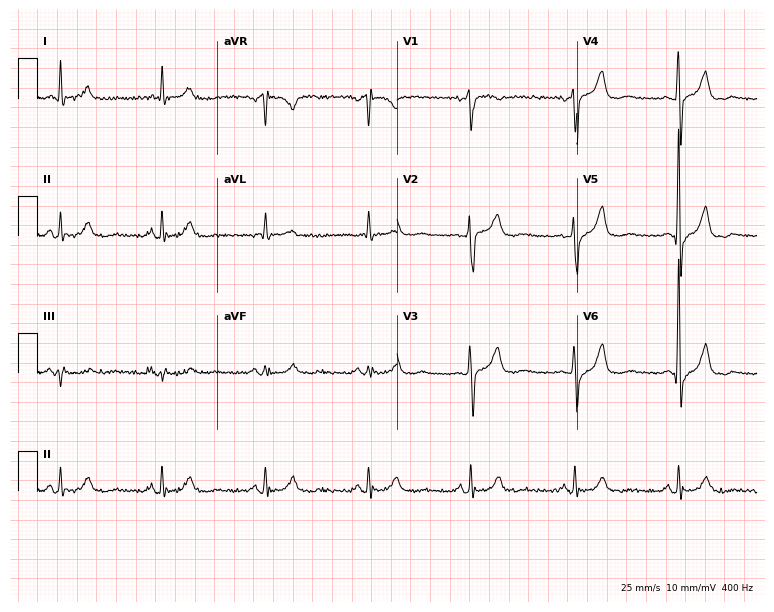
12-lead ECG from an 84-year-old male patient. No first-degree AV block, right bundle branch block, left bundle branch block, sinus bradycardia, atrial fibrillation or sinus tachycardia recorded for this tracing.